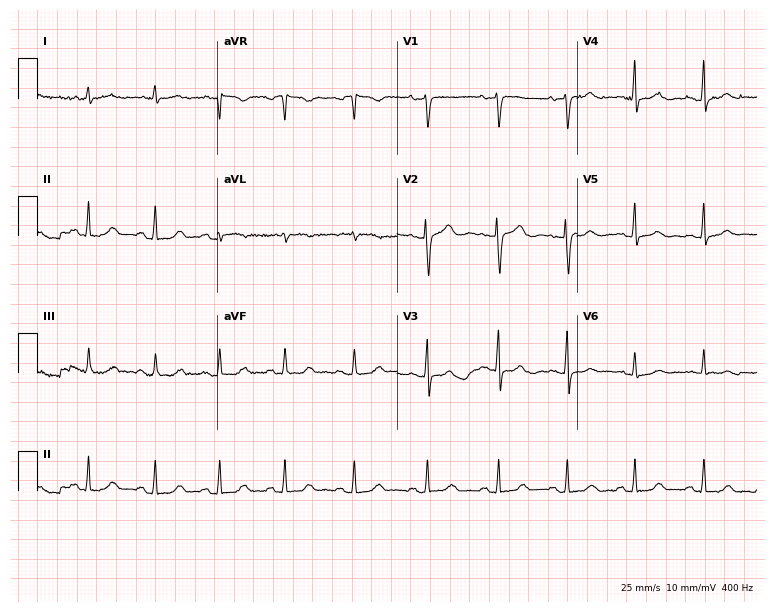
ECG — a 64-year-old female. Labelled as a normal ECG.